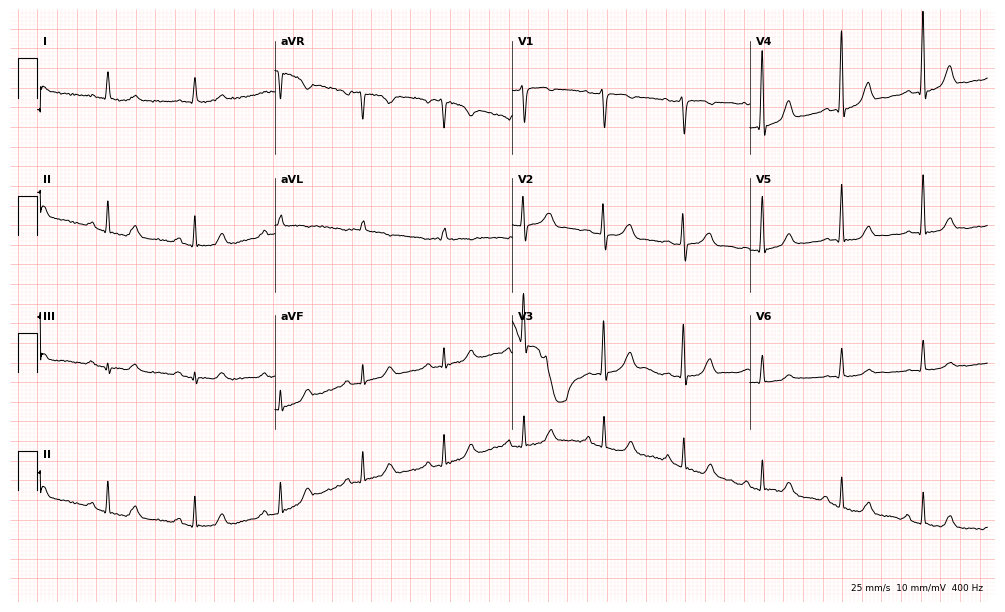
Electrocardiogram, a female patient, 79 years old. Overall reading on record: normal ECG.